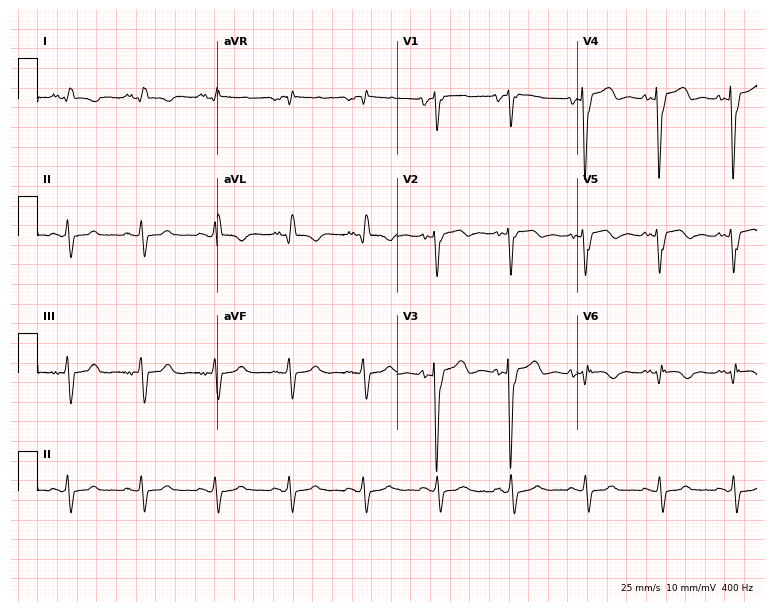
Resting 12-lead electrocardiogram (7.3-second recording at 400 Hz). Patient: a 42-year-old female. None of these six findings is recorded: first-degree AV block, right bundle branch block (RBBB), left bundle branch block (LBBB), sinus bradycardia, atrial fibrillation (AF), sinus tachycardia. Other findings, if any, are not listed.